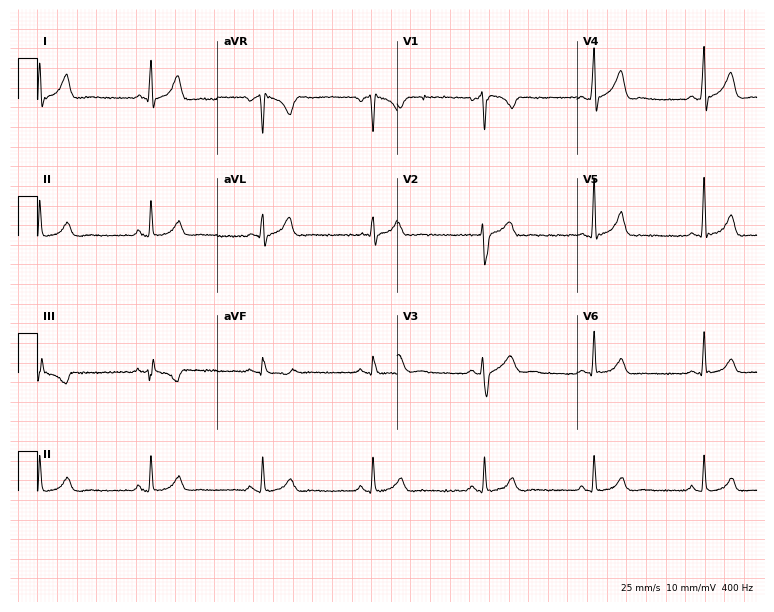
Electrocardiogram (7.3-second recording at 400 Hz), a male patient, 39 years old. Overall reading on record: normal ECG.